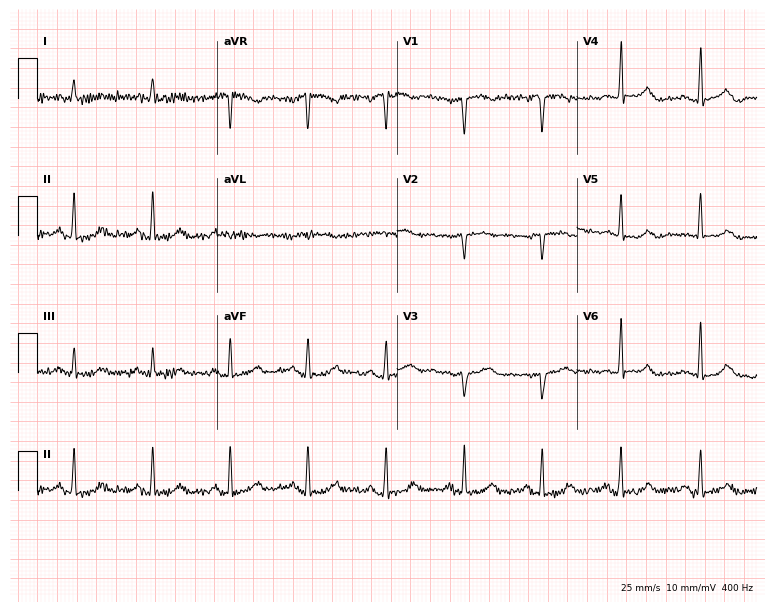
Resting 12-lead electrocardiogram. Patient: a 79-year-old man. None of these six findings is recorded: first-degree AV block, right bundle branch block, left bundle branch block, sinus bradycardia, atrial fibrillation, sinus tachycardia. Only these six findings were labelled.